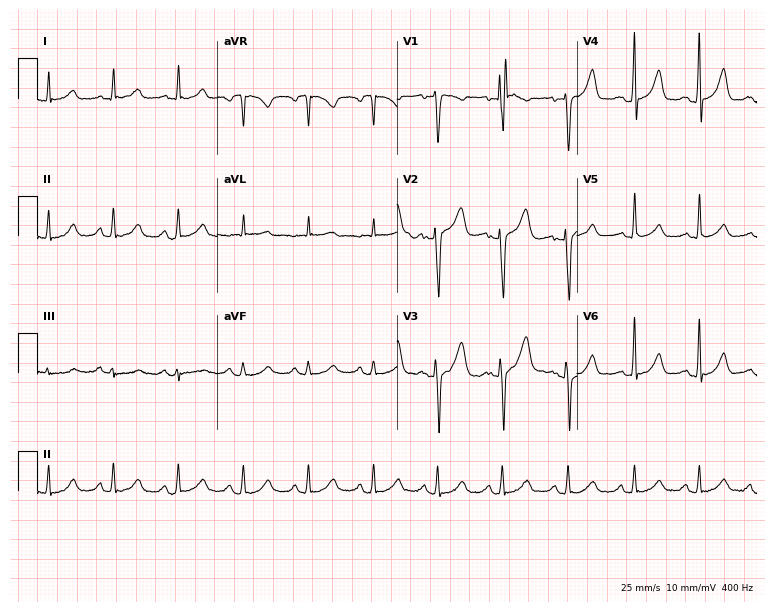
Resting 12-lead electrocardiogram. Patient: a 50-year-old female. None of these six findings is recorded: first-degree AV block, right bundle branch block (RBBB), left bundle branch block (LBBB), sinus bradycardia, atrial fibrillation (AF), sinus tachycardia.